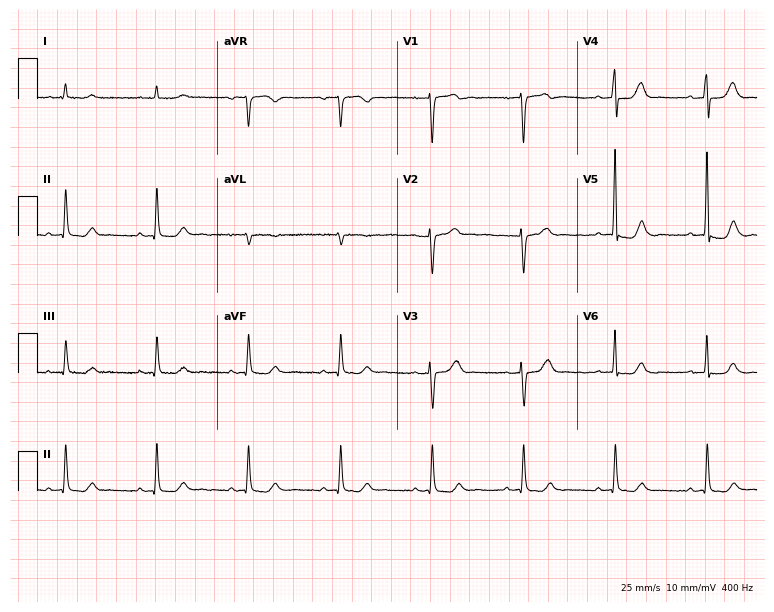
ECG (7.3-second recording at 400 Hz) — a male patient, 85 years old. Screened for six findings — first-degree AV block, right bundle branch block (RBBB), left bundle branch block (LBBB), sinus bradycardia, atrial fibrillation (AF), sinus tachycardia — none is recorded.